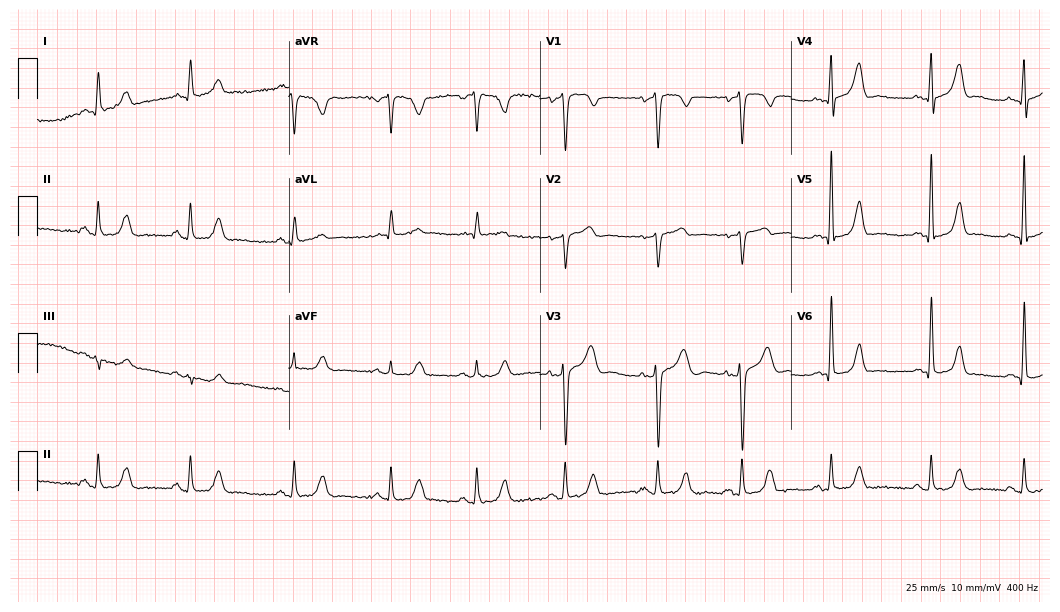
Electrocardiogram (10.2-second recording at 400 Hz), a 48-year-old female patient. Of the six screened findings (first-degree AV block, right bundle branch block (RBBB), left bundle branch block (LBBB), sinus bradycardia, atrial fibrillation (AF), sinus tachycardia), none is recorded.